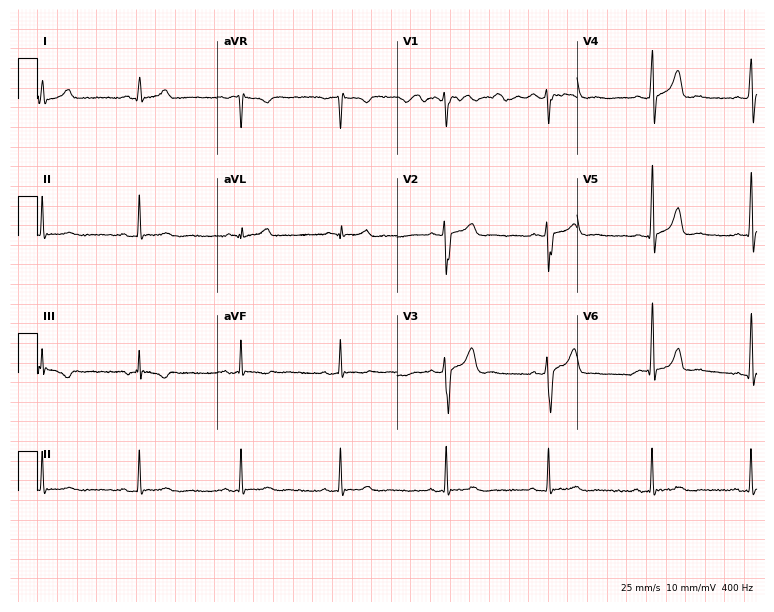
12-lead ECG from a male patient, 37 years old. Recorded interpretation: within normal limits.